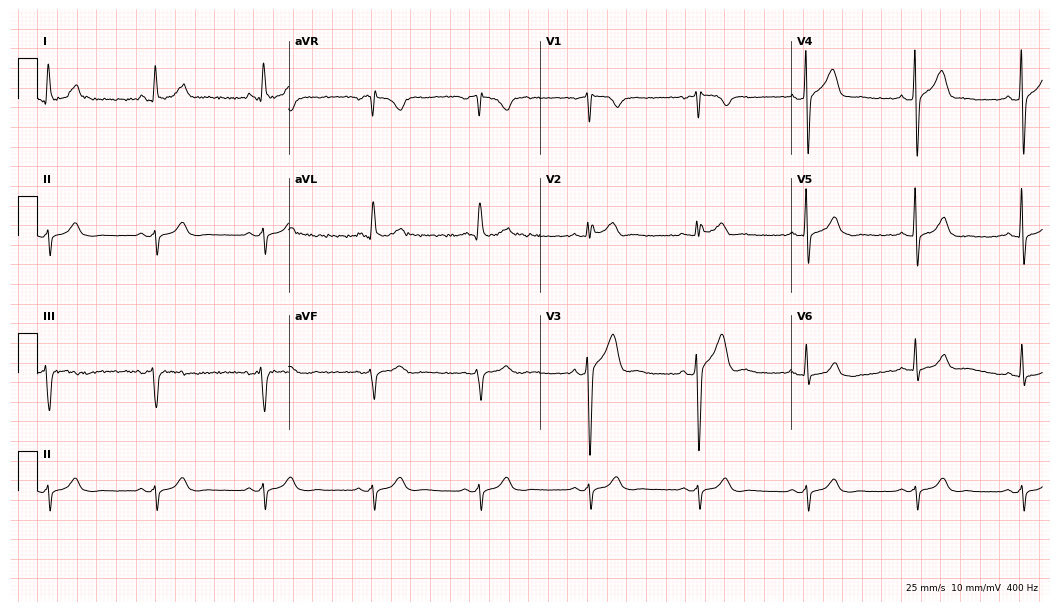
Standard 12-lead ECG recorded from a 58-year-old male (10.2-second recording at 400 Hz). None of these six findings is recorded: first-degree AV block, right bundle branch block (RBBB), left bundle branch block (LBBB), sinus bradycardia, atrial fibrillation (AF), sinus tachycardia.